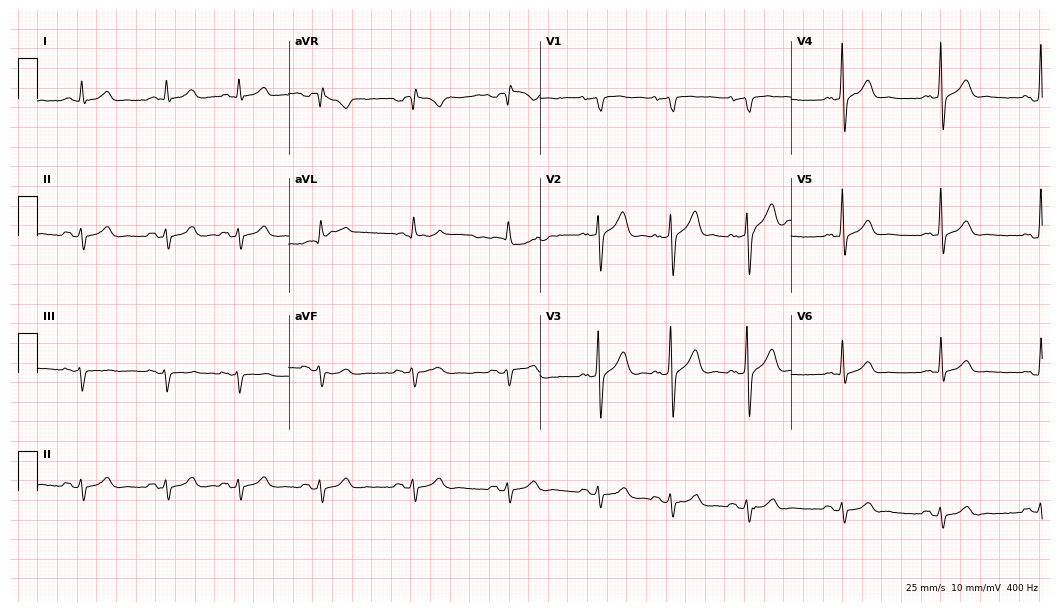
Electrocardiogram, a 68-year-old male. Of the six screened findings (first-degree AV block, right bundle branch block, left bundle branch block, sinus bradycardia, atrial fibrillation, sinus tachycardia), none is recorded.